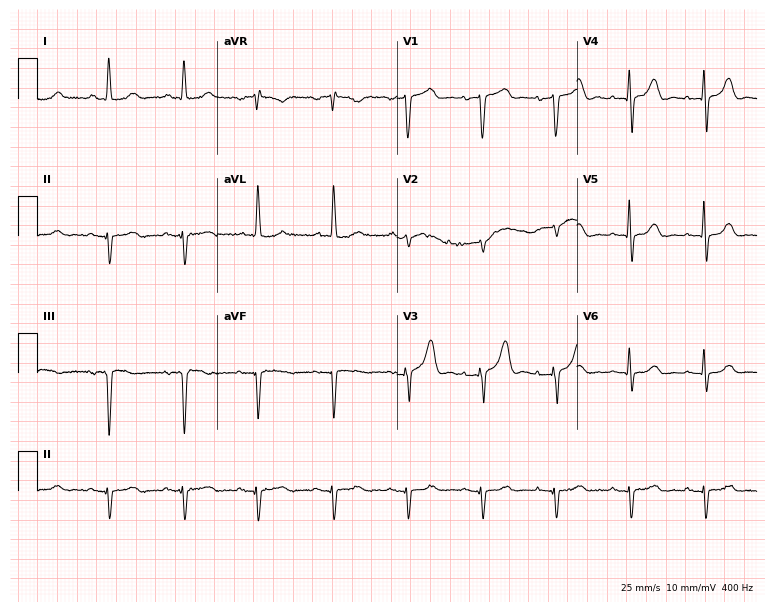
Resting 12-lead electrocardiogram. Patient: an 87-year-old woman. None of these six findings is recorded: first-degree AV block, right bundle branch block, left bundle branch block, sinus bradycardia, atrial fibrillation, sinus tachycardia. Only these six findings were labelled.